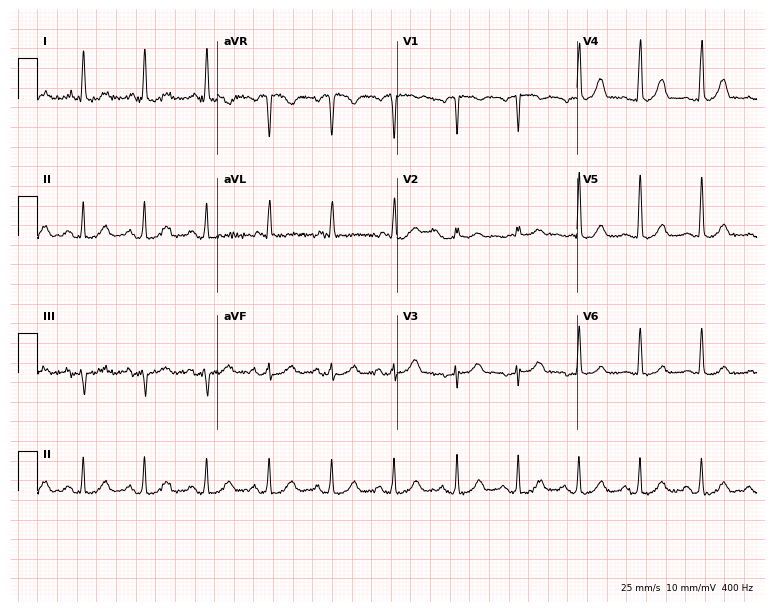
ECG (7.3-second recording at 400 Hz) — a 77-year-old female. Labelled as a normal ECG.